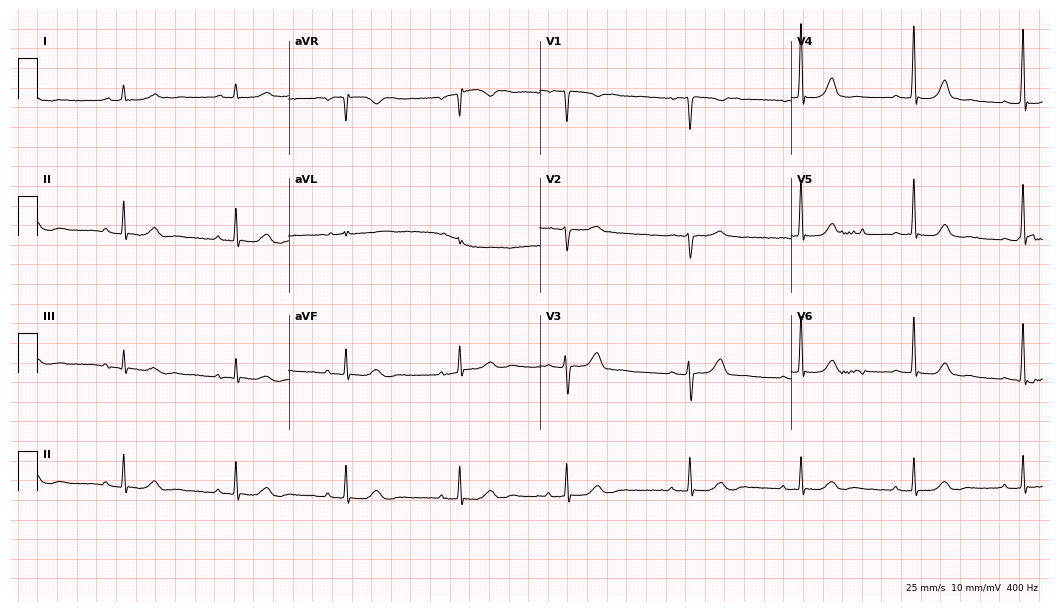
ECG (10.2-second recording at 400 Hz) — a female patient, 46 years old. Labelled as a normal ECG.